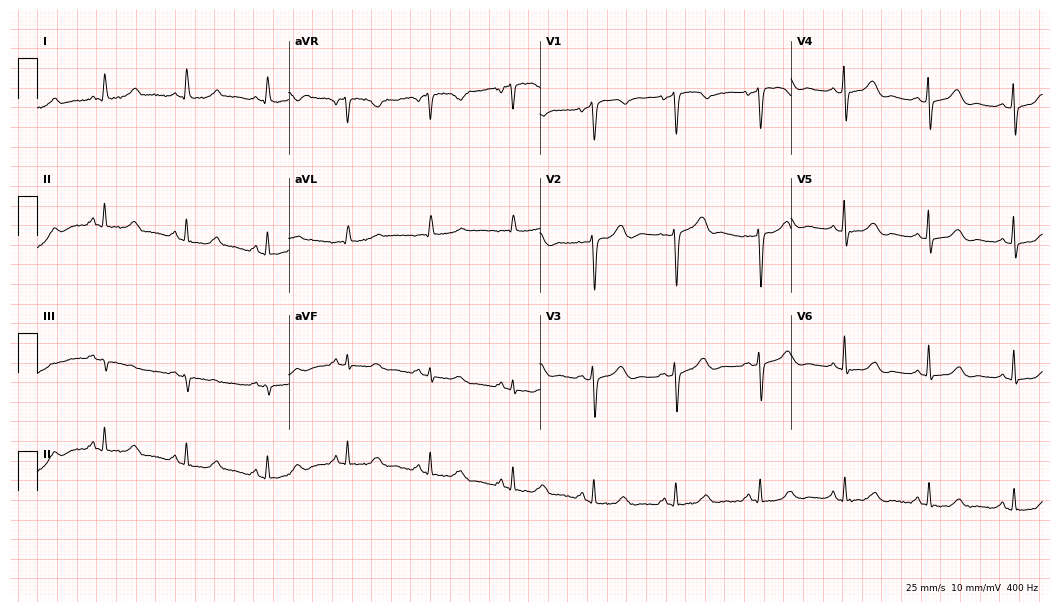
Electrocardiogram, a female, 63 years old. Overall reading on record: normal ECG.